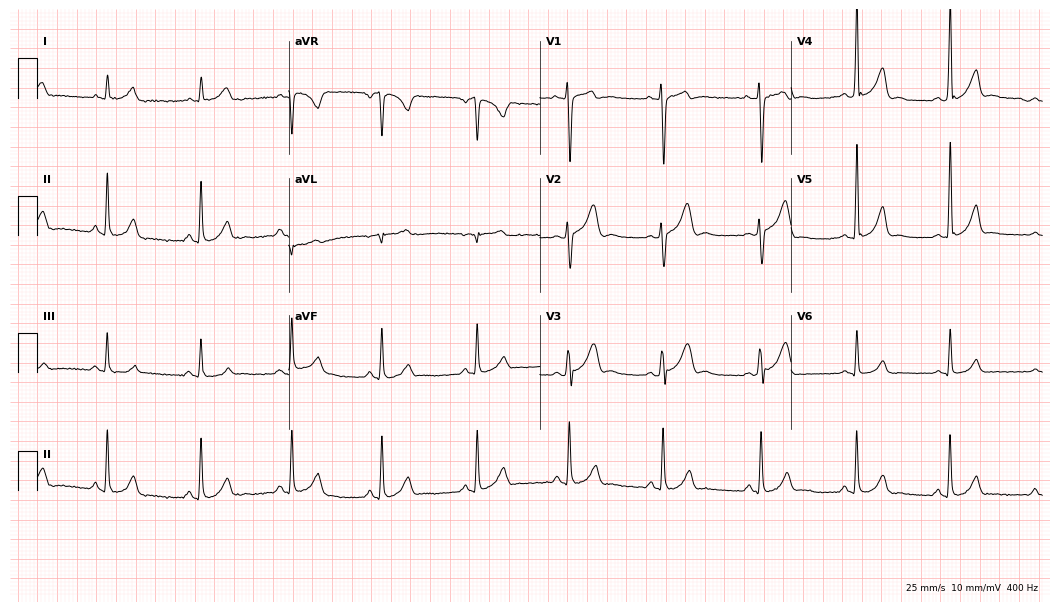
12-lead ECG from a 17-year-old male. Recorded interpretation: within normal limits.